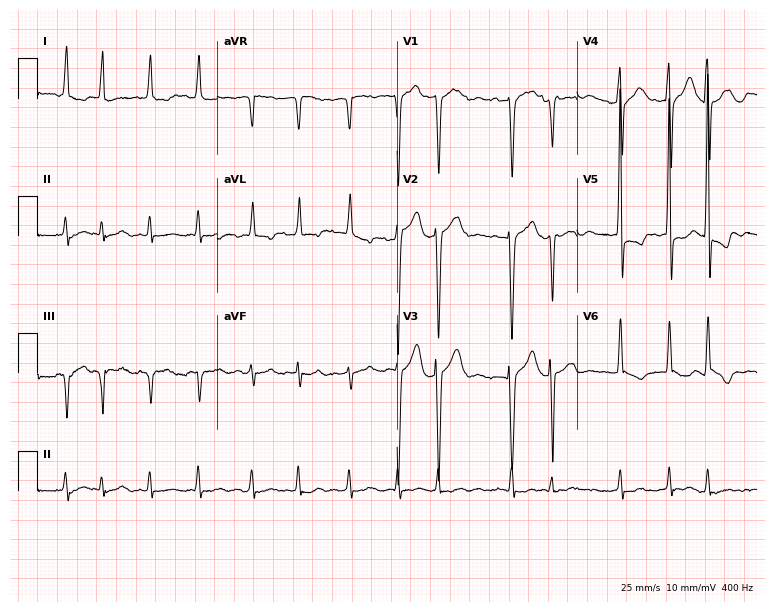
12-lead ECG (7.3-second recording at 400 Hz) from a 71-year-old man. Findings include atrial fibrillation (AF).